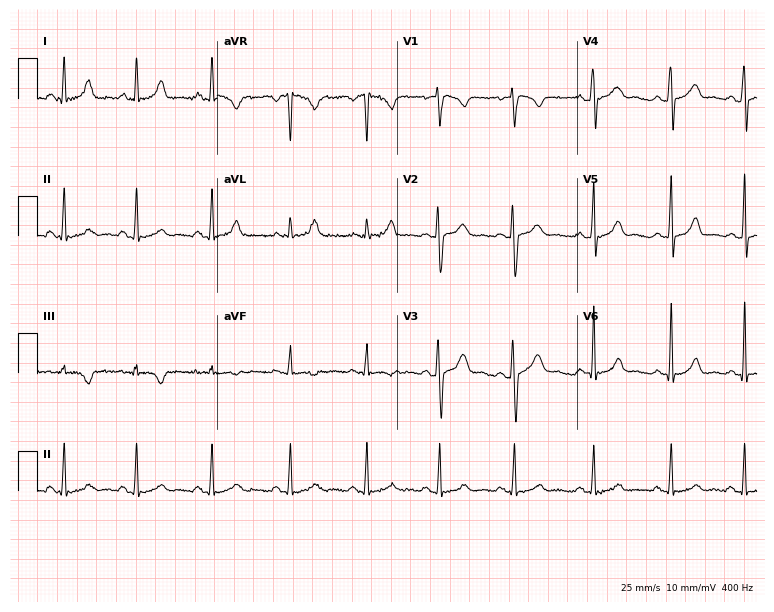
12-lead ECG from a 22-year-old female patient. Labelled as a normal ECG.